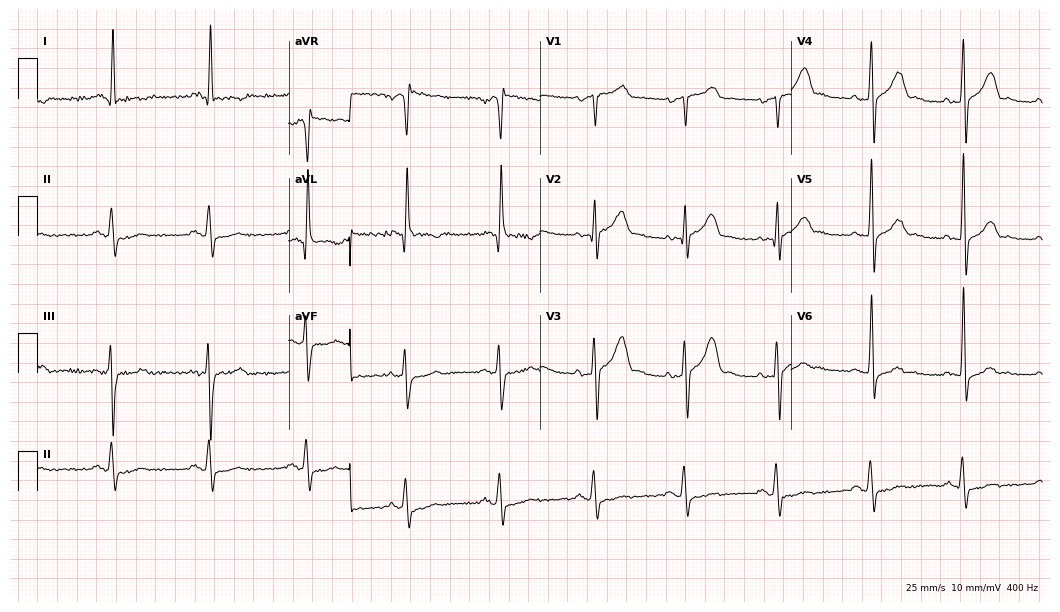
ECG (10.2-second recording at 400 Hz) — a 57-year-old man. Screened for six findings — first-degree AV block, right bundle branch block (RBBB), left bundle branch block (LBBB), sinus bradycardia, atrial fibrillation (AF), sinus tachycardia — none is recorded.